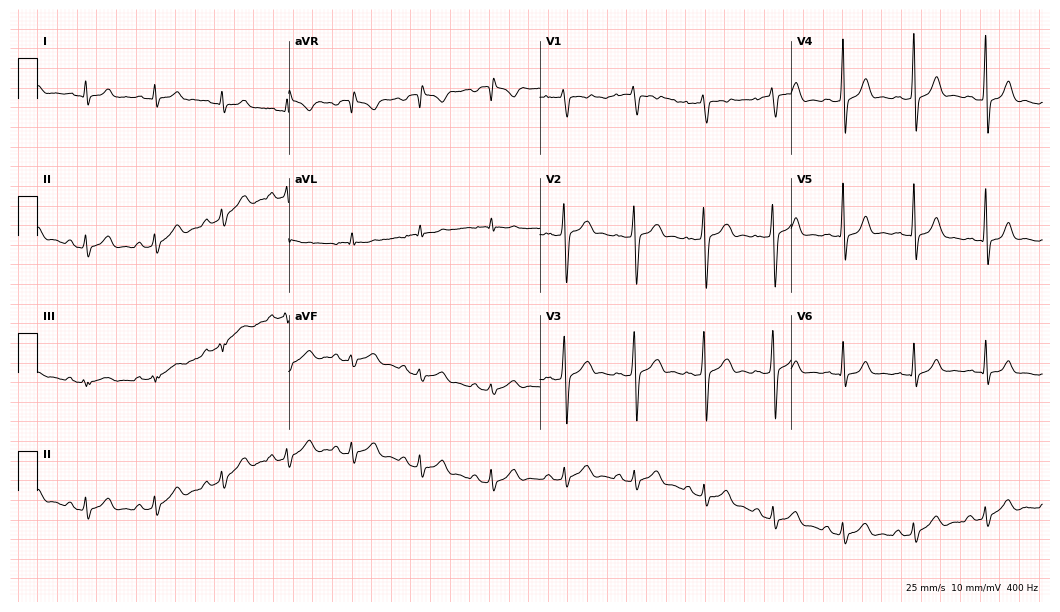
Standard 12-lead ECG recorded from a male, 22 years old. Read as a normal ECG.